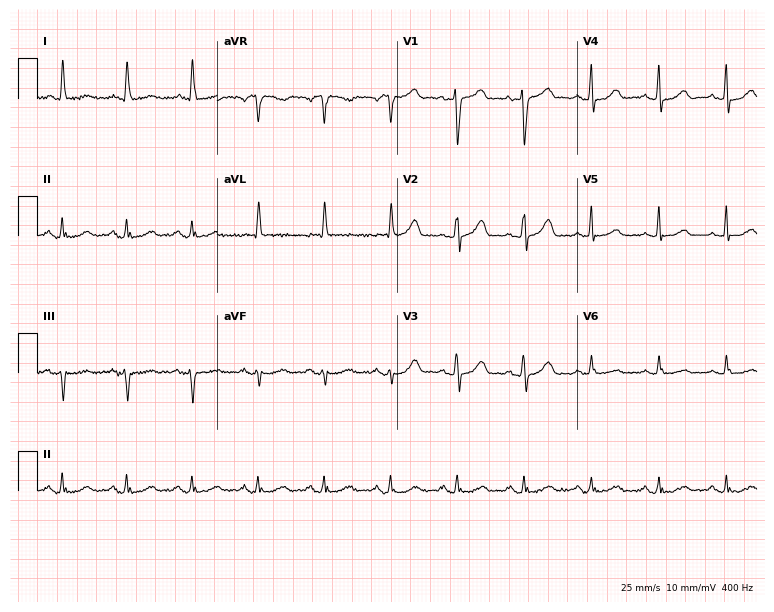
Electrocardiogram, a 77-year-old female patient. Of the six screened findings (first-degree AV block, right bundle branch block, left bundle branch block, sinus bradycardia, atrial fibrillation, sinus tachycardia), none is recorded. Findings outside these six are not listed.